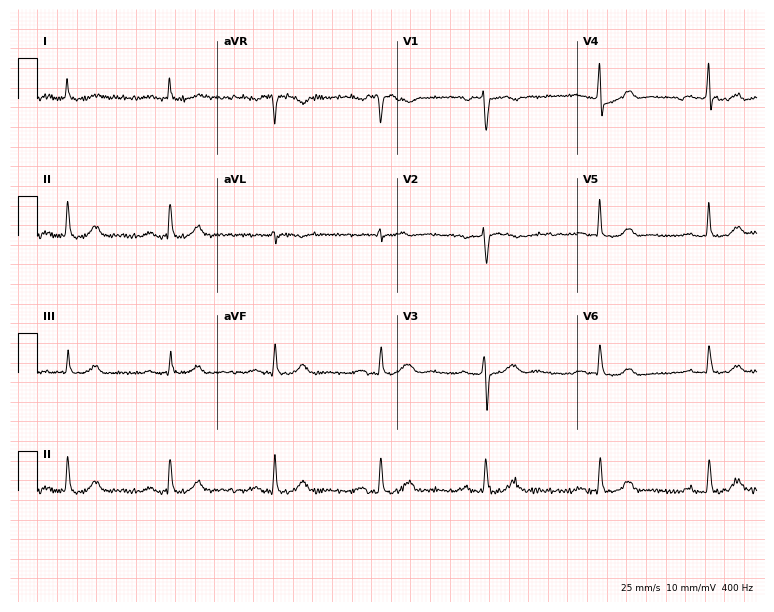
ECG (7.3-second recording at 400 Hz) — a 56-year-old female patient. Findings include first-degree AV block.